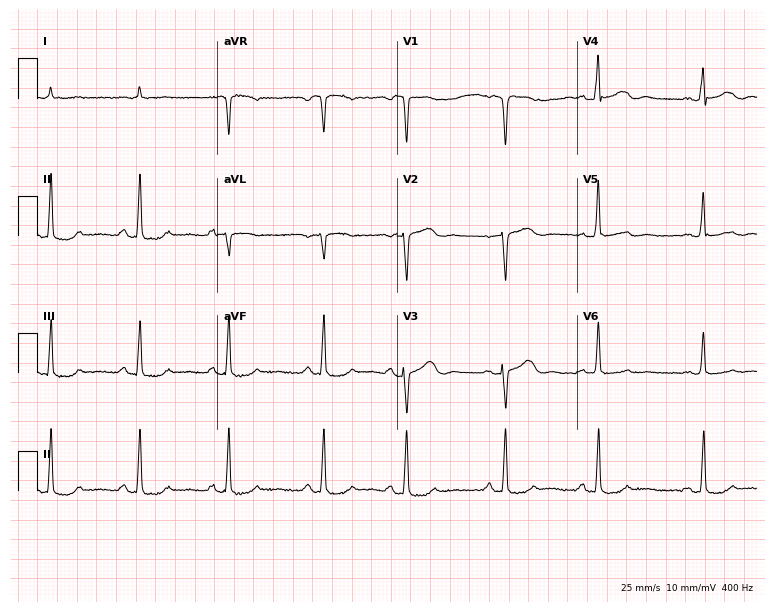
ECG (7.3-second recording at 400 Hz) — a 71-year-old male patient. Screened for six findings — first-degree AV block, right bundle branch block, left bundle branch block, sinus bradycardia, atrial fibrillation, sinus tachycardia — none is recorded.